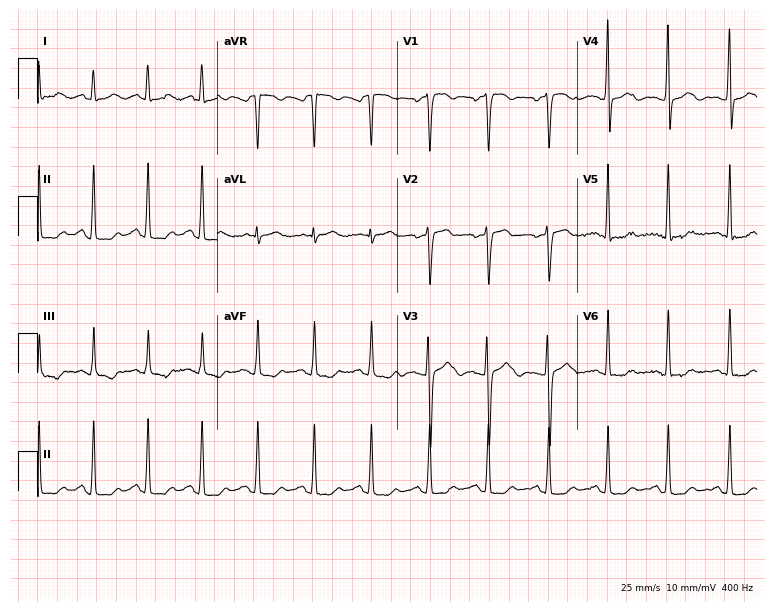
ECG — a female patient, 21 years old. Findings include sinus tachycardia (a sinus rate of 100 beats per minute or more).